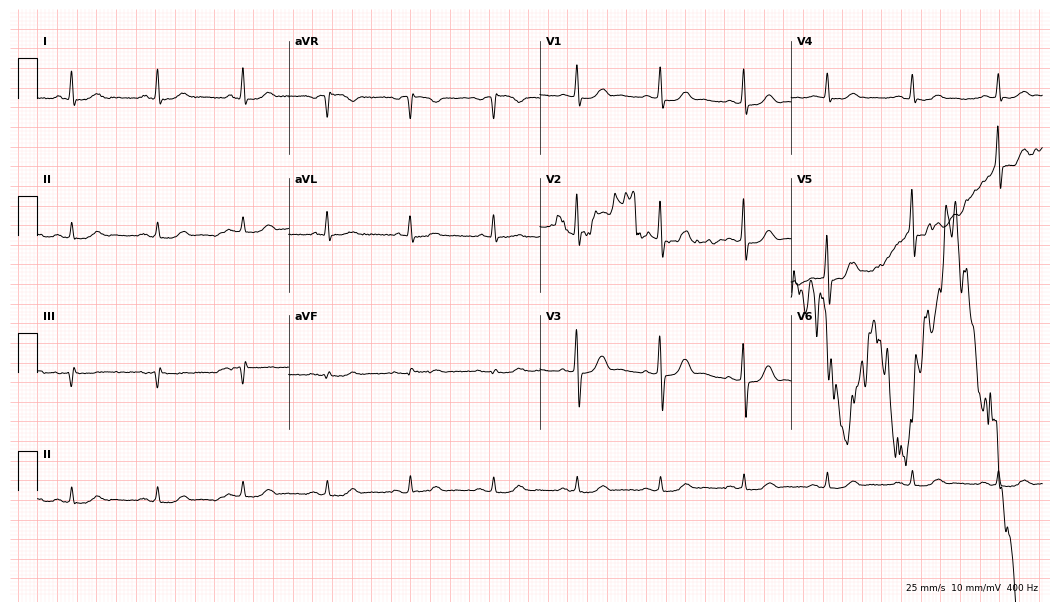
ECG (10.2-second recording at 400 Hz) — a 62-year-old man. Screened for six findings — first-degree AV block, right bundle branch block, left bundle branch block, sinus bradycardia, atrial fibrillation, sinus tachycardia — none is recorded.